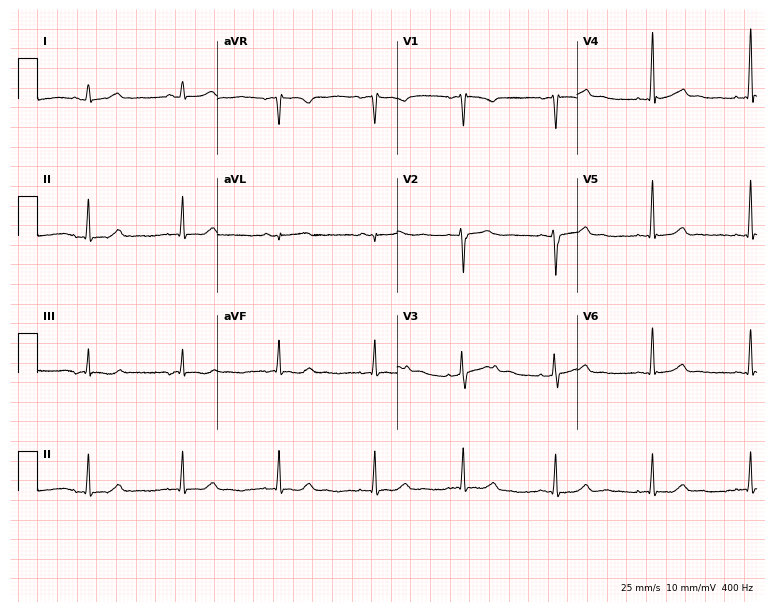
12-lead ECG from a 35-year-old woman (7.3-second recording at 400 Hz). Recorded interpretation: within normal limits.